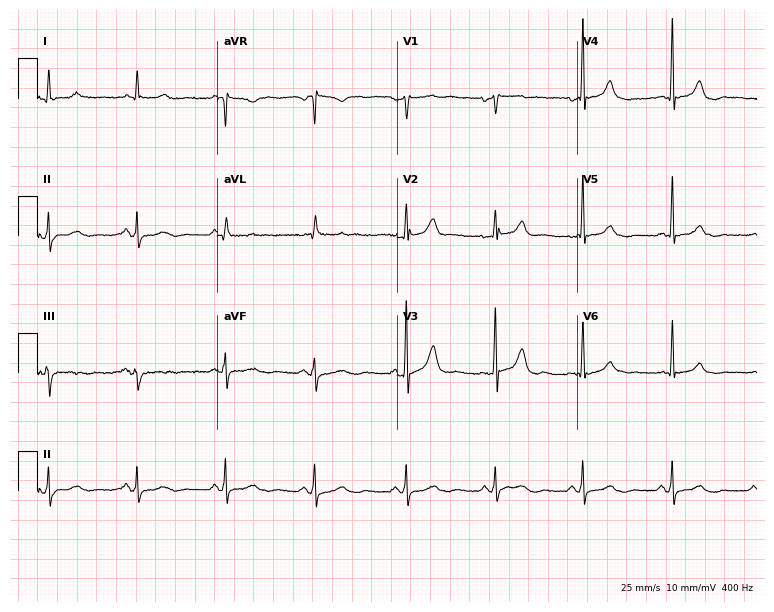
12-lead ECG (7.3-second recording at 400 Hz) from a female patient, 55 years old. Labelled as a normal ECG.